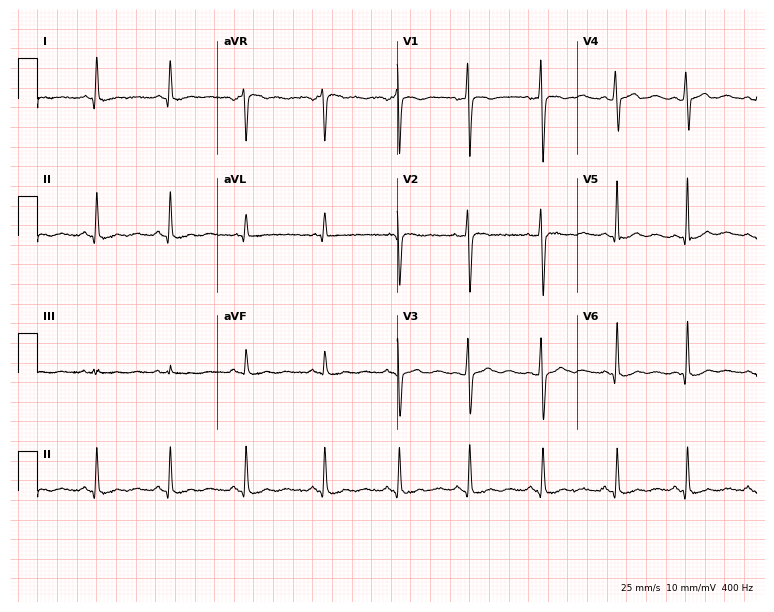
12-lead ECG from a 19-year-old female (7.3-second recording at 400 Hz). No first-degree AV block, right bundle branch block, left bundle branch block, sinus bradycardia, atrial fibrillation or sinus tachycardia recorded for this tracing.